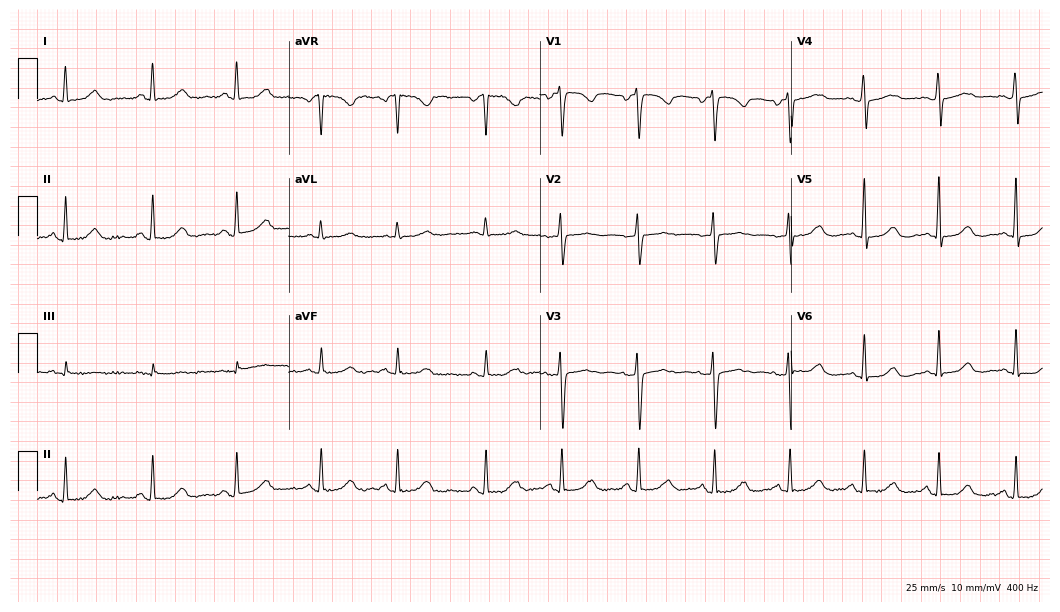
Standard 12-lead ECG recorded from a 47-year-old female. Read as a normal ECG.